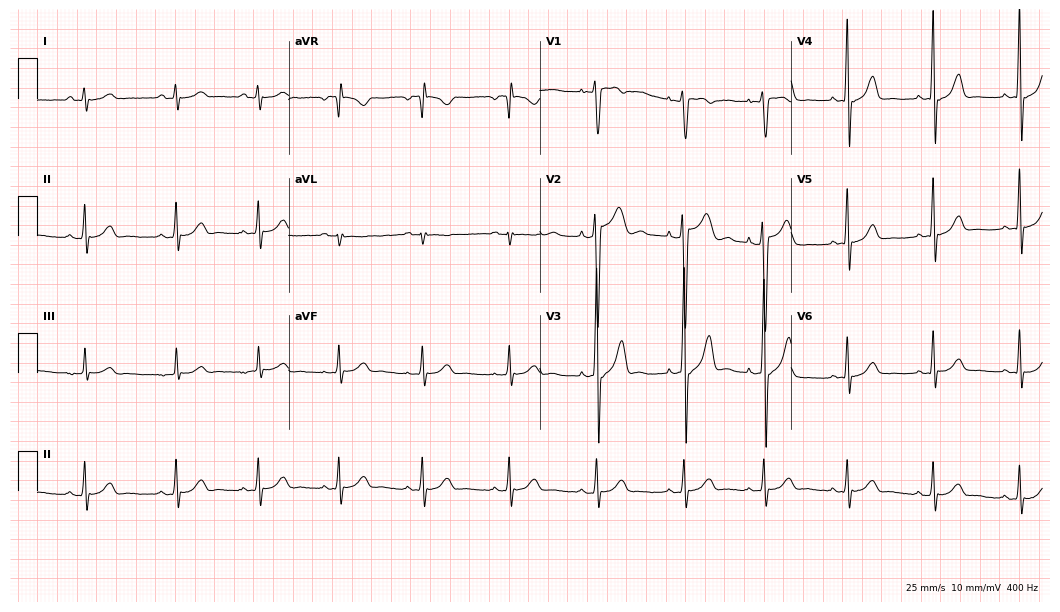
12-lead ECG from a male patient, 18 years old. Labelled as a normal ECG.